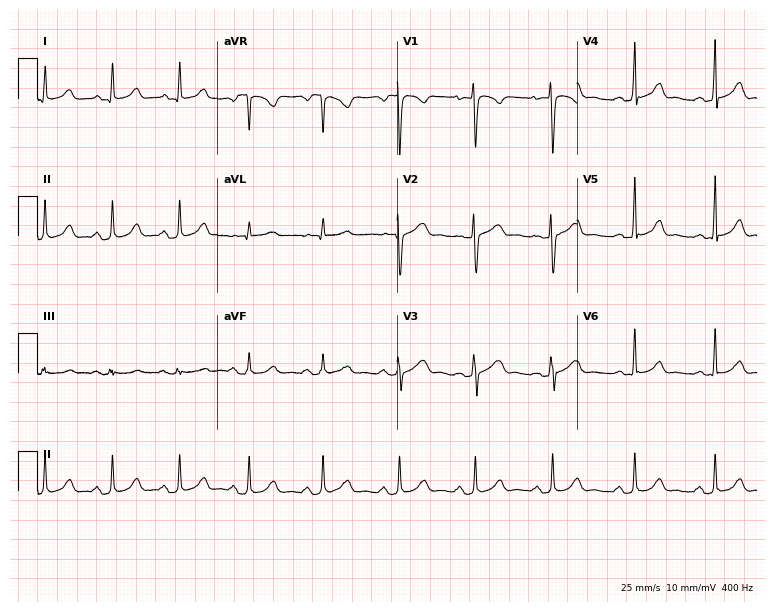
Resting 12-lead electrocardiogram (7.3-second recording at 400 Hz). Patient: a woman, 35 years old. Read as a normal ECG.